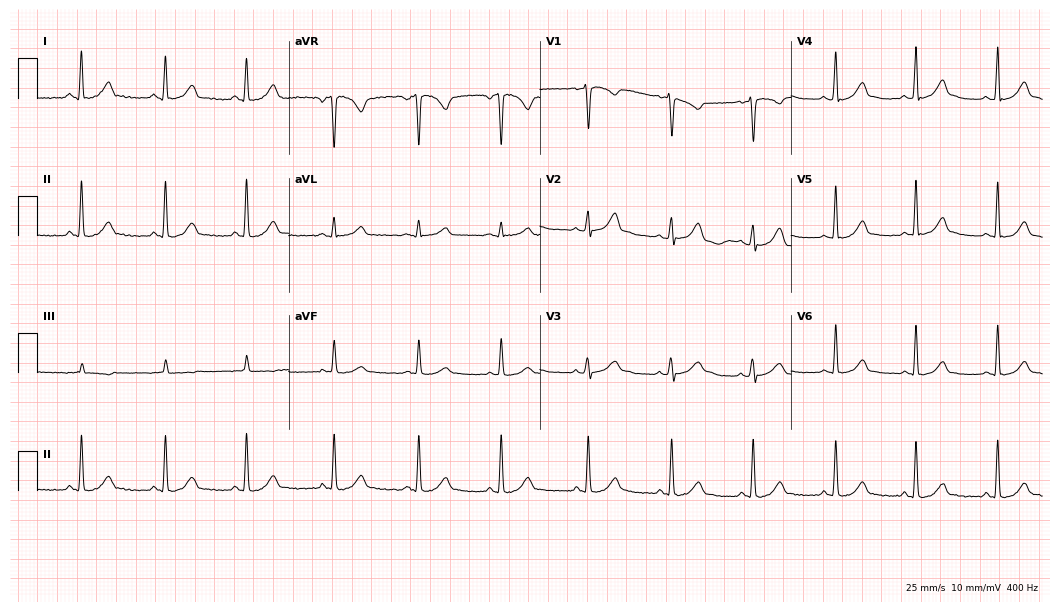
12-lead ECG from a 20-year-old female patient. Screened for six findings — first-degree AV block, right bundle branch block, left bundle branch block, sinus bradycardia, atrial fibrillation, sinus tachycardia — none is recorded.